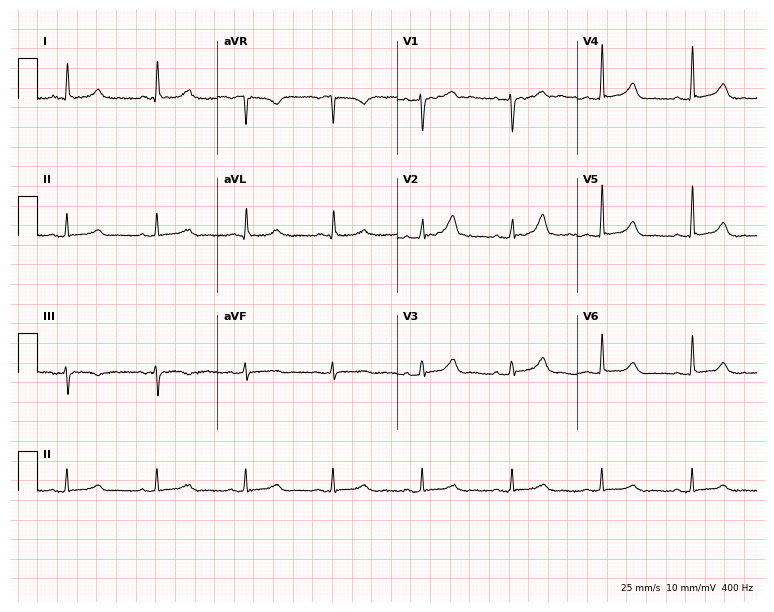
Standard 12-lead ECG recorded from a female patient, 75 years old (7.3-second recording at 400 Hz). None of these six findings is recorded: first-degree AV block, right bundle branch block (RBBB), left bundle branch block (LBBB), sinus bradycardia, atrial fibrillation (AF), sinus tachycardia.